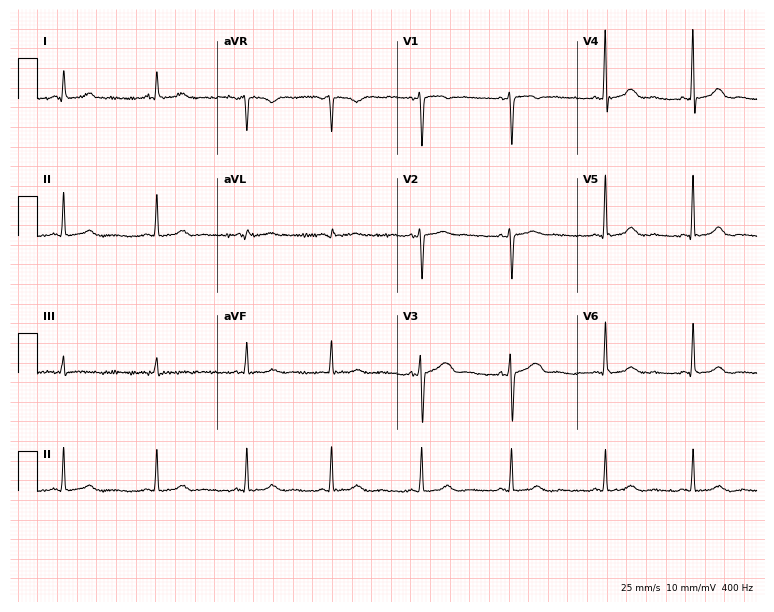
12-lead ECG from a 49-year-old female (7.3-second recording at 400 Hz). Recorded interpretation: within normal limits.